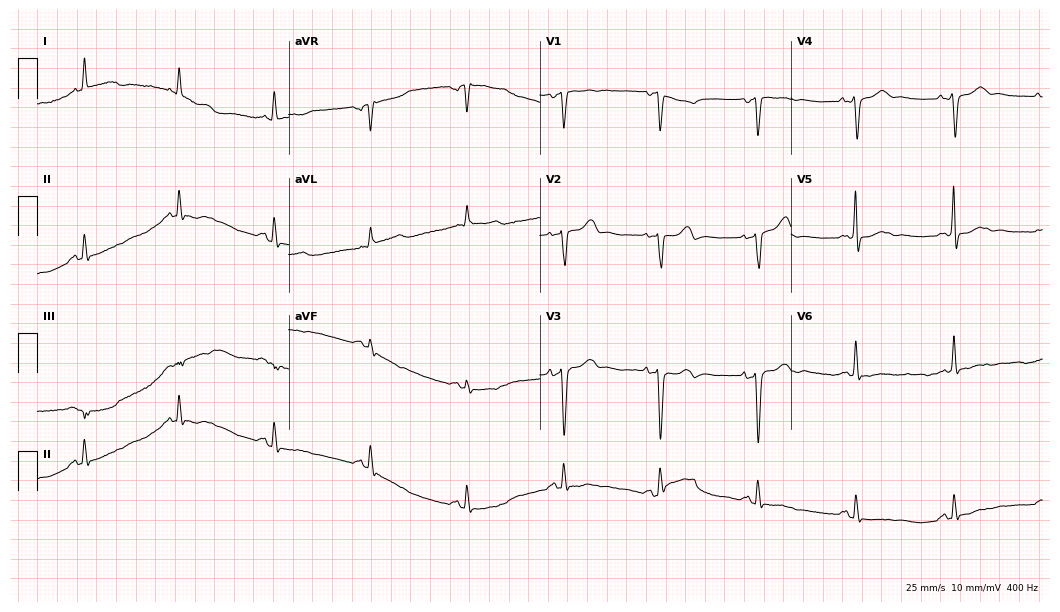
Resting 12-lead electrocardiogram (10.2-second recording at 400 Hz). Patient: a 66-year-old woman. None of these six findings is recorded: first-degree AV block, right bundle branch block, left bundle branch block, sinus bradycardia, atrial fibrillation, sinus tachycardia.